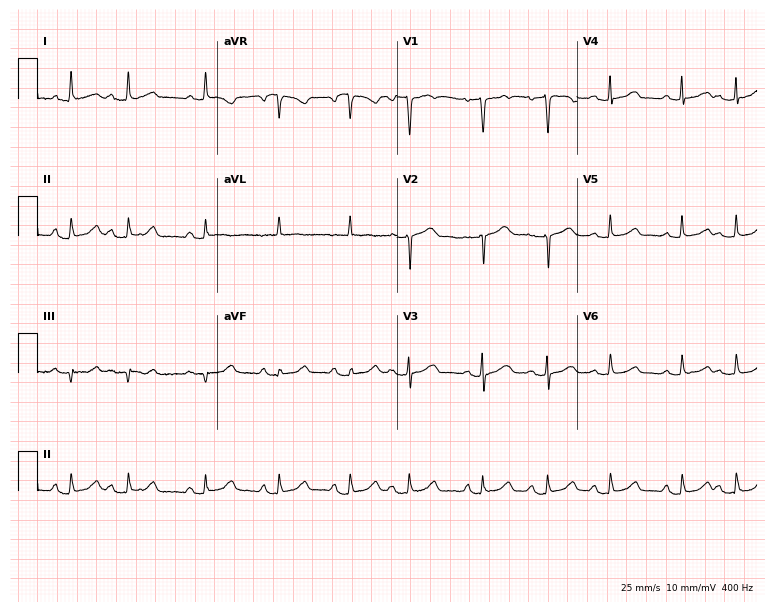
ECG — an 82-year-old female patient. Labelled as a normal ECG.